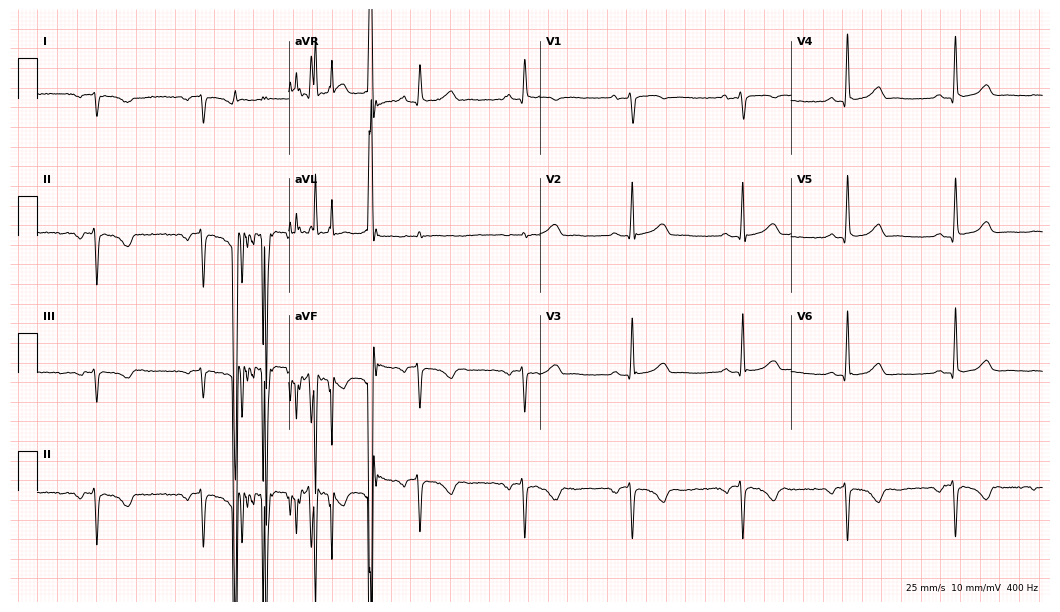
Standard 12-lead ECG recorded from a 60-year-old female. None of these six findings is recorded: first-degree AV block, right bundle branch block, left bundle branch block, sinus bradycardia, atrial fibrillation, sinus tachycardia.